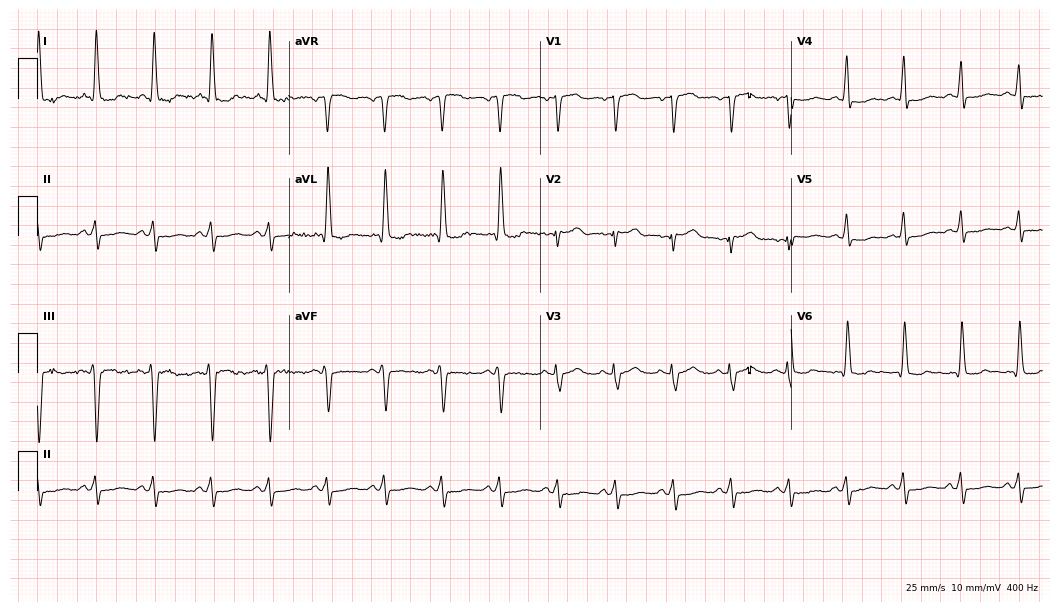
ECG (10.2-second recording at 400 Hz) — a 74-year-old female patient. Screened for six findings — first-degree AV block, right bundle branch block, left bundle branch block, sinus bradycardia, atrial fibrillation, sinus tachycardia — none is recorded. Findings outside these six are not listed.